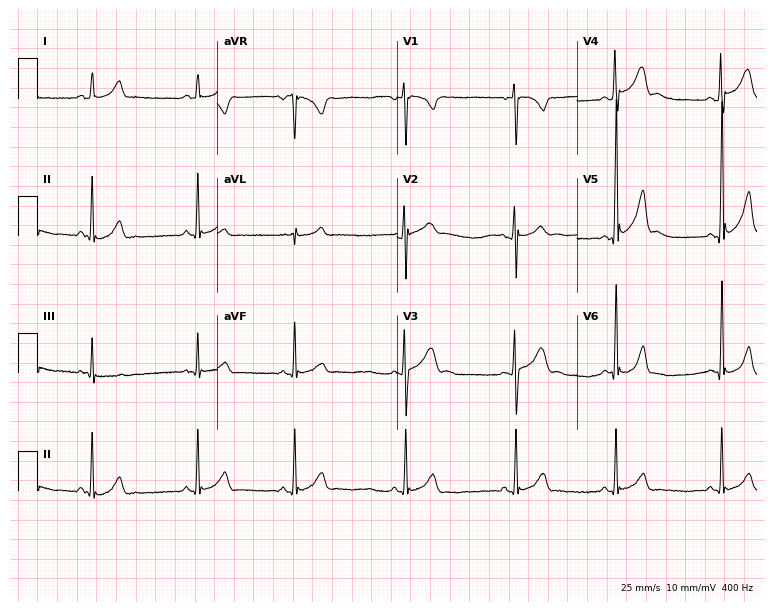
12-lead ECG from a 19-year-old male patient (7.3-second recording at 400 Hz). No first-degree AV block, right bundle branch block, left bundle branch block, sinus bradycardia, atrial fibrillation or sinus tachycardia recorded for this tracing. Findings outside these six are not listed.